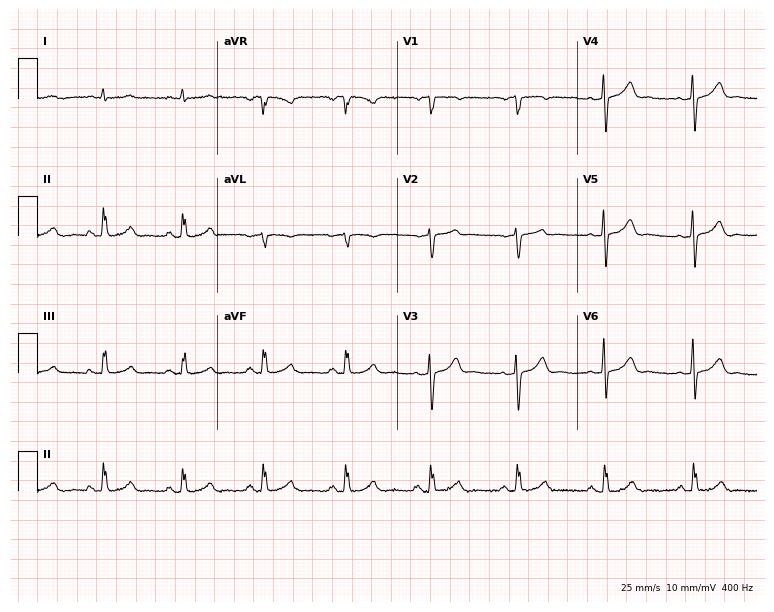
12-lead ECG from a man, 69 years old. Screened for six findings — first-degree AV block, right bundle branch block, left bundle branch block, sinus bradycardia, atrial fibrillation, sinus tachycardia — none is recorded.